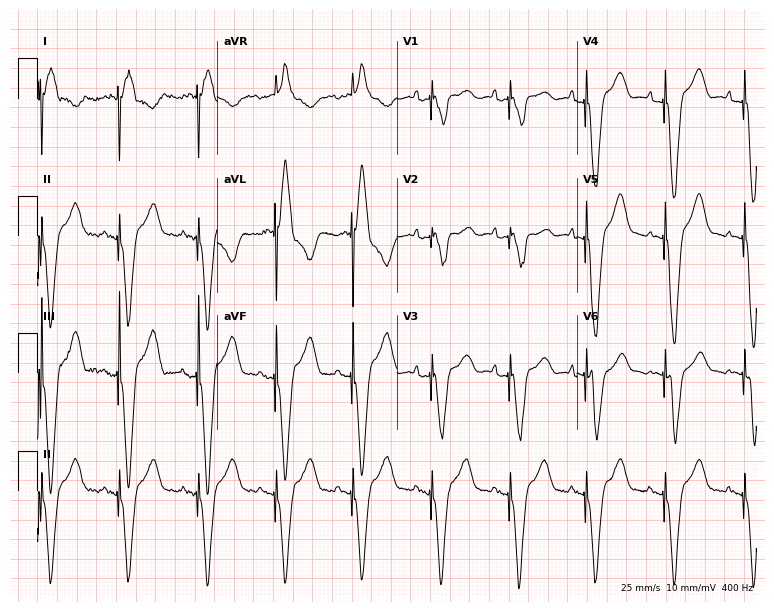
Standard 12-lead ECG recorded from a woman, 70 years old (7.3-second recording at 400 Hz). None of these six findings is recorded: first-degree AV block, right bundle branch block, left bundle branch block, sinus bradycardia, atrial fibrillation, sinus tachycardia. Other findings, if any, are not listed.